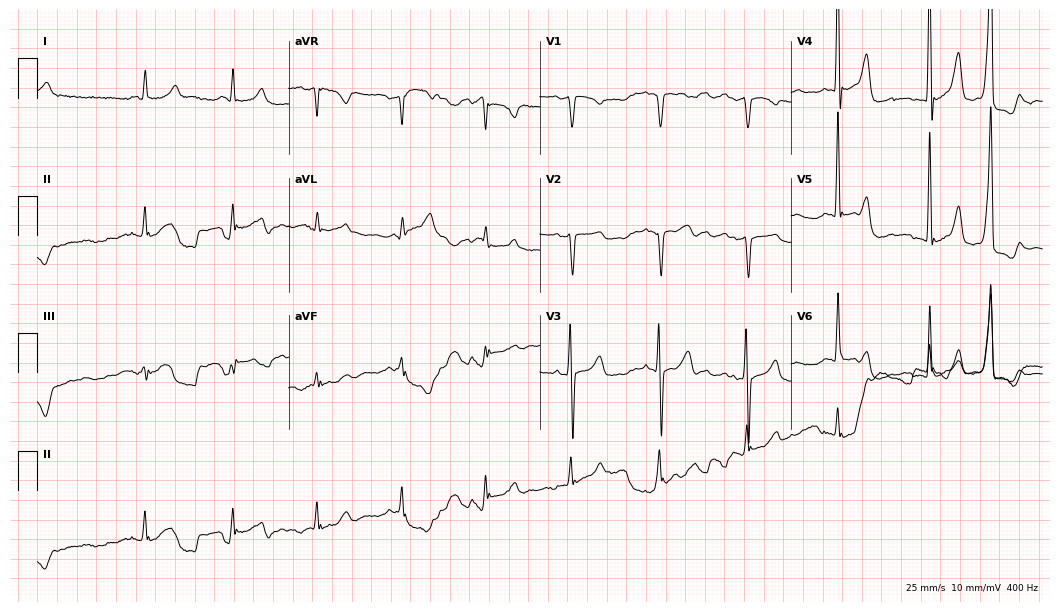
Standard 12-lead ECG recorded from a man, 55 years old. None of these six findings is recorded: first-degree AV block, right bundle branch block, left bundle branch block, sinus bradycardia, atrial fibrillation, sinus tachycardia. Findings outside these six are not listed.